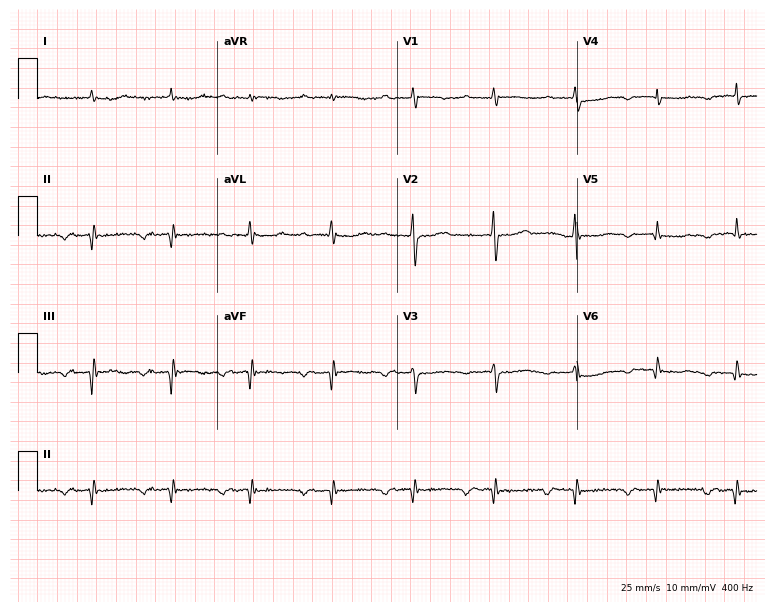
ECG — a 69-year-old male. Screened for six findings — first-degree AV block, right bundle branch block, left bundle branch block, sinus bradycardia, atrial fibrillation, sinus tachycardia — none is recorded. Other findings, if any, are not listed.